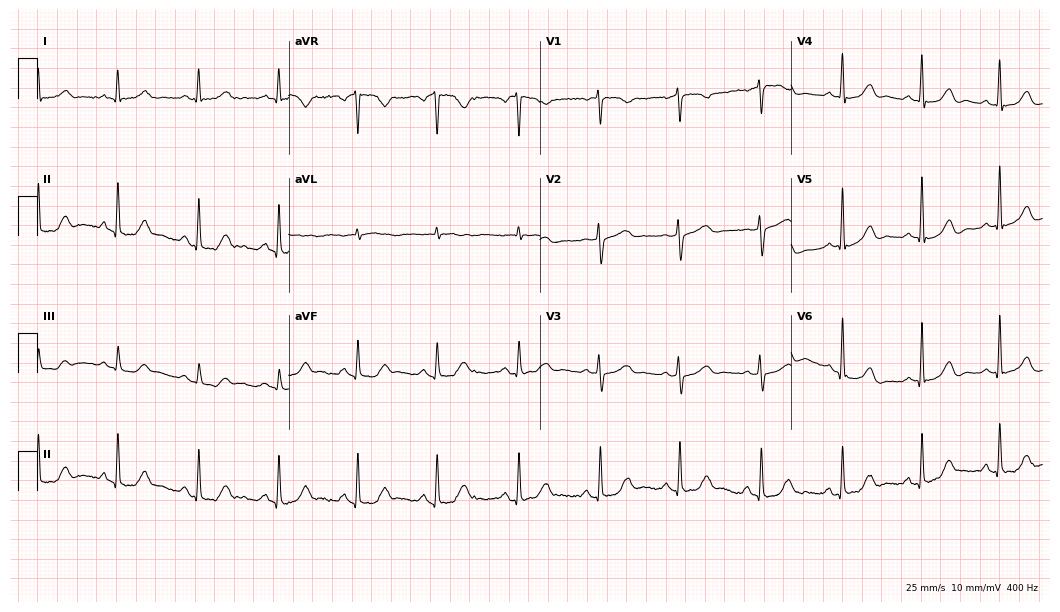
12-lead ECG from a 61-year-old woman. No first-degree AV block, right bundle branch block, left bundle branch block, sinus bradycardia, atrial fibrillation or sinus tachycardia recorded for this tracing.